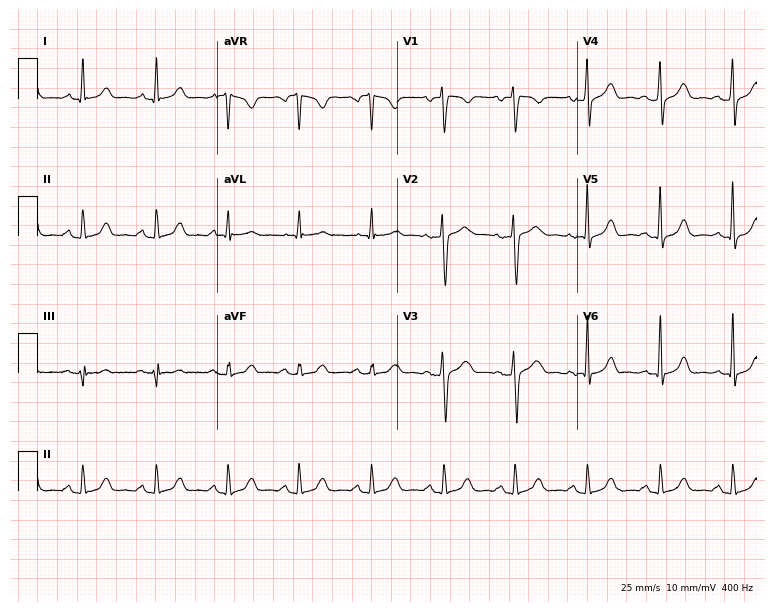
Electrocardiogram (7.3-second recording at 400 Hz), a female patient, 35 years old. Overall reading on record: normal ECG.